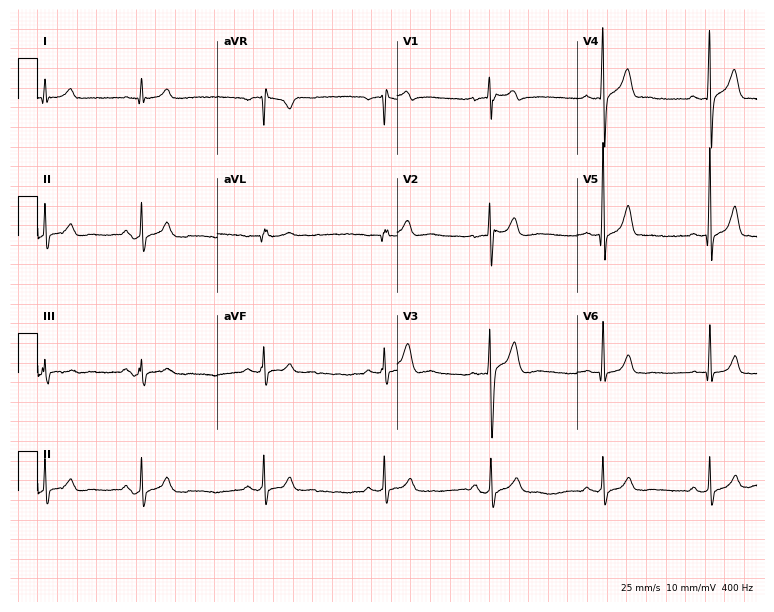
12-lead ECG (7.3-second recording at 400 Hz) from a 20-year-old man. Labelled as a normal ECG.